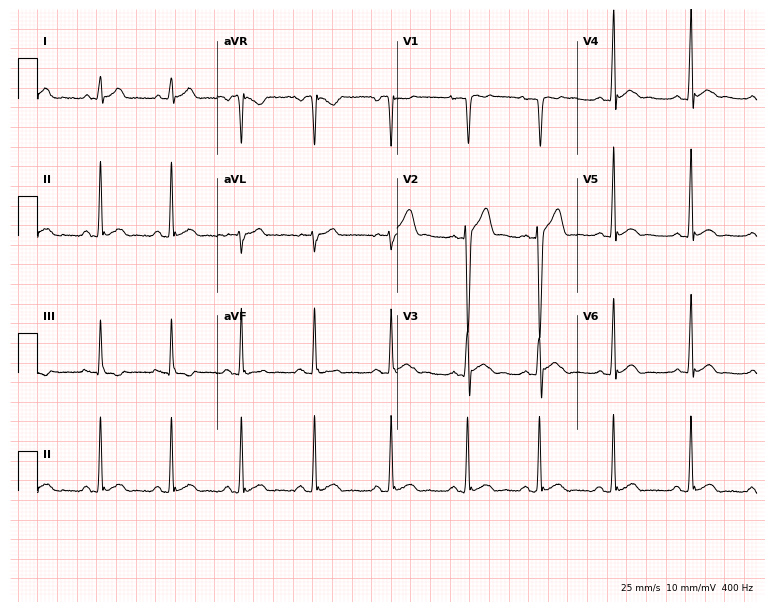
Resting 12-lead electrocardiogram (7.3-second recording at 400 Hz). Patient: a man, 21 years old. Read as a normal ECG.